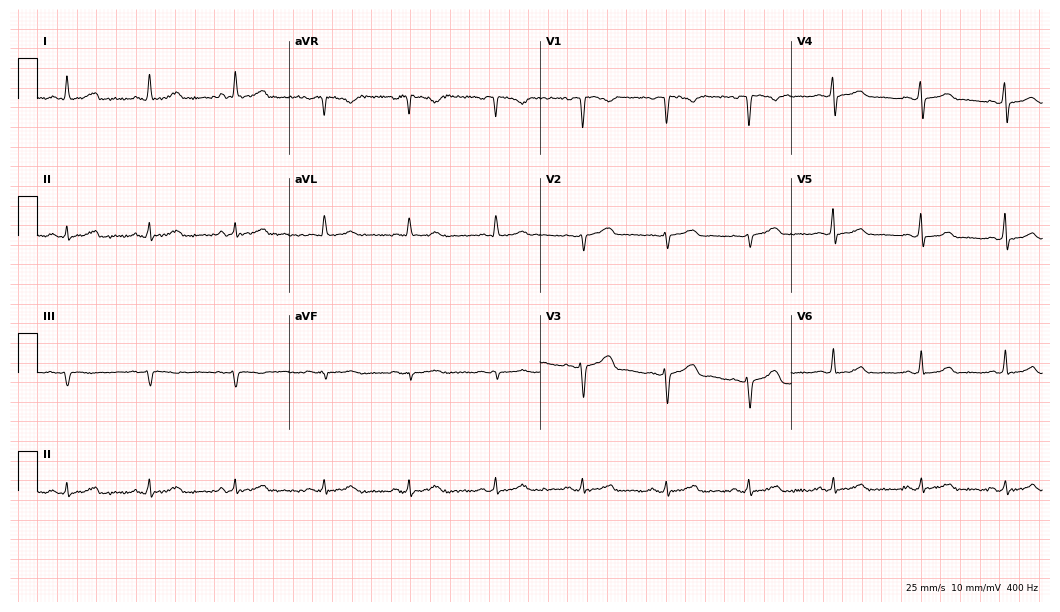
Standard 12-lead ECG recorded from a 42-year-old female patient (10.2-second recording at 400 Hz). Read as a normal ECG.